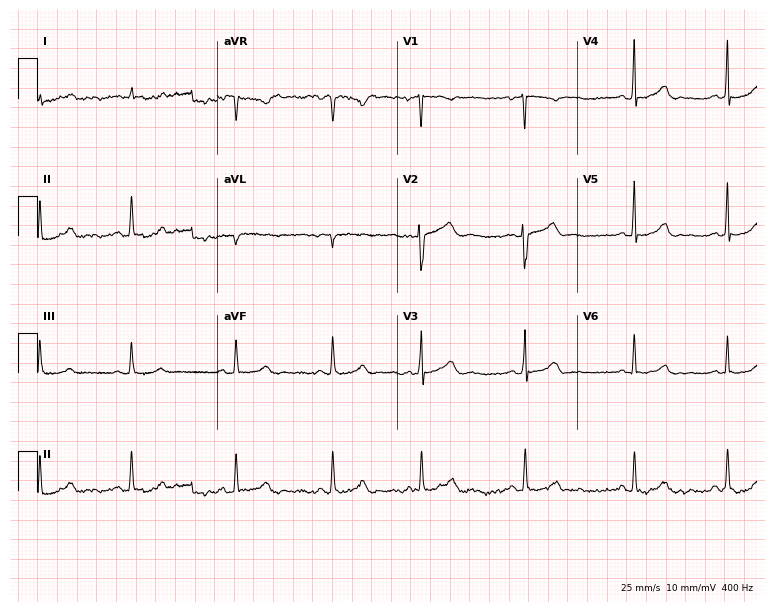
Electrocardiogram (7.3-second recording at 400 Hz), a 26-year-old female patient. Of the six screened findings (first-degree AV block, right bundle branch block (RBBB), left bundle branch block (LBBB), sinus bradycardia, atrial fibrillation (AF), sinus tachycardia), none is recorded.